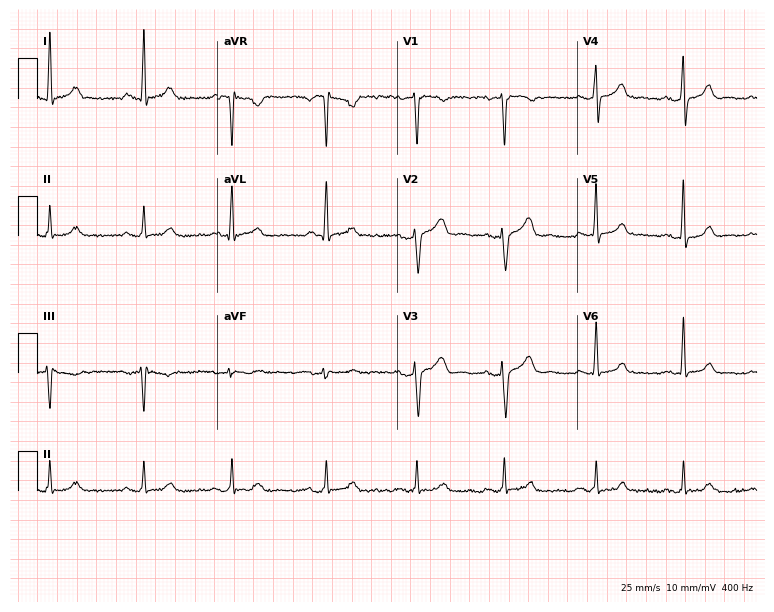
ECG (7.3-second recording at 400 Hz) — a 36-year-old female. Screened for six findings — first-degree AV block, right bundle branch block, left bundle branch block, sinus bradycardia, atrial fibrillation, sinus tachycardia — none is recorded.